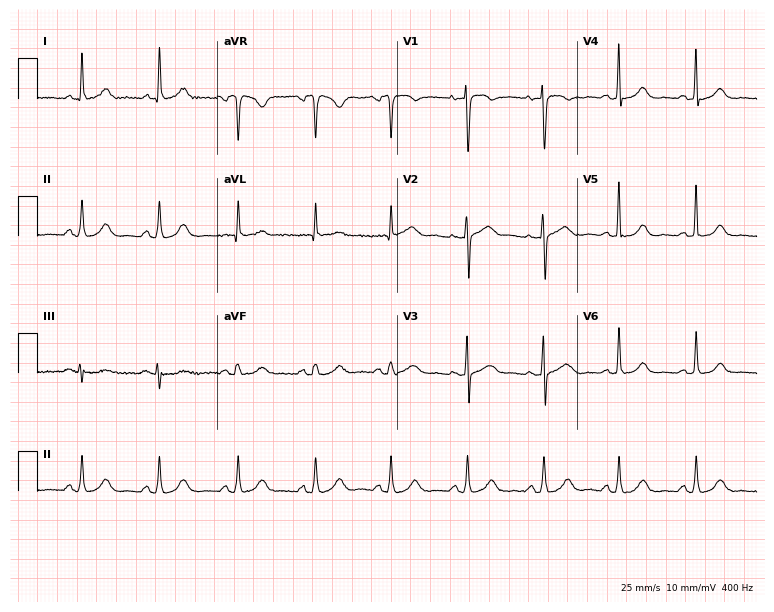
Standard 12-lead ECG recorded from a 72-year-old woman (7.3-second recording at 400 Hz). Read as a normal ECG.